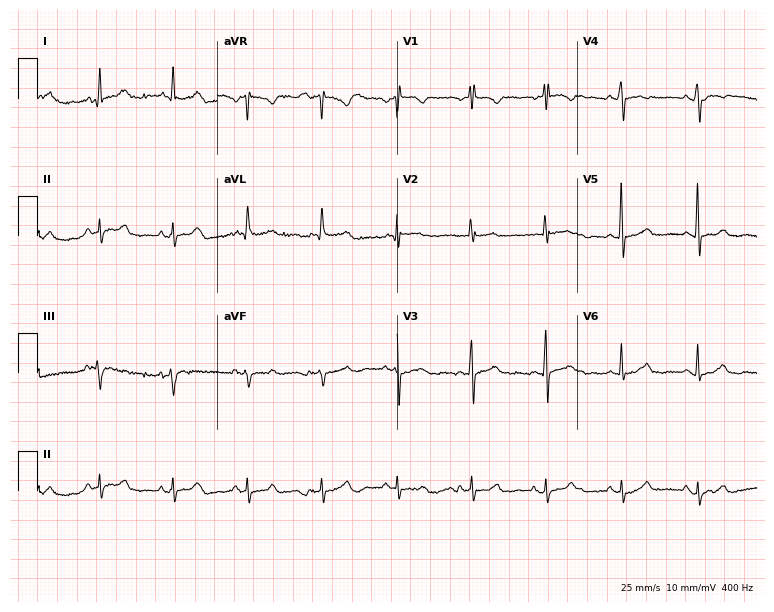
ECG — a female patient, 76 years old. Labelled as a normal ECG.